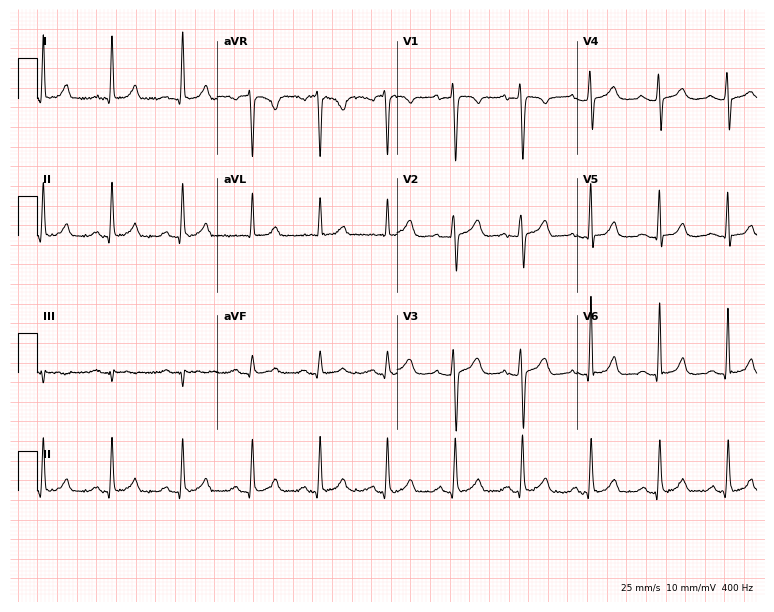
Electrocardiogram (7.3-second recording at 400 Hz), a woman, 41 years old. Overall reading on record: normal ECG.